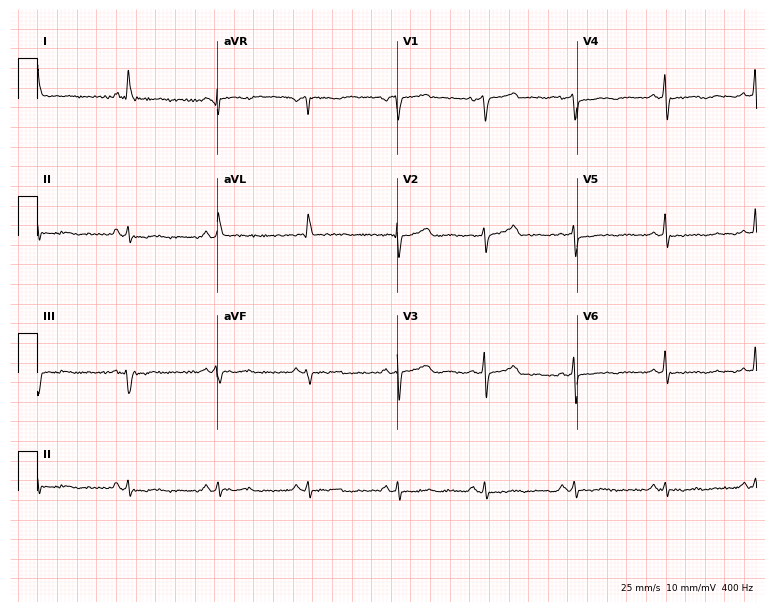
12-lead ECG from a 78-year-old man. Screened for six findings — first-degree AV block, right bundle branch block, left bundle branch block, sinus bradycardia, atrial fibrillation, sinus tachycardia — none is recorded.